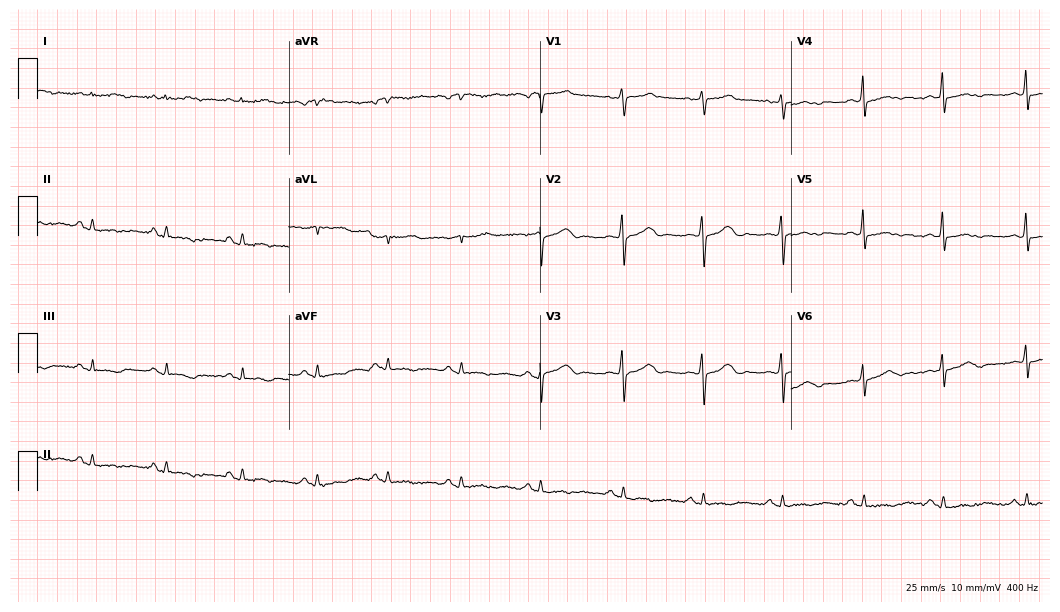
Standard 12-lead ECG recorded from a 47-year-old female patient. None of these six findings is recorded: first-degree AV block, right bundle branch block, left bundle branch block, sinus bradycardia, atrial fibrillation, sinus tachycardia.